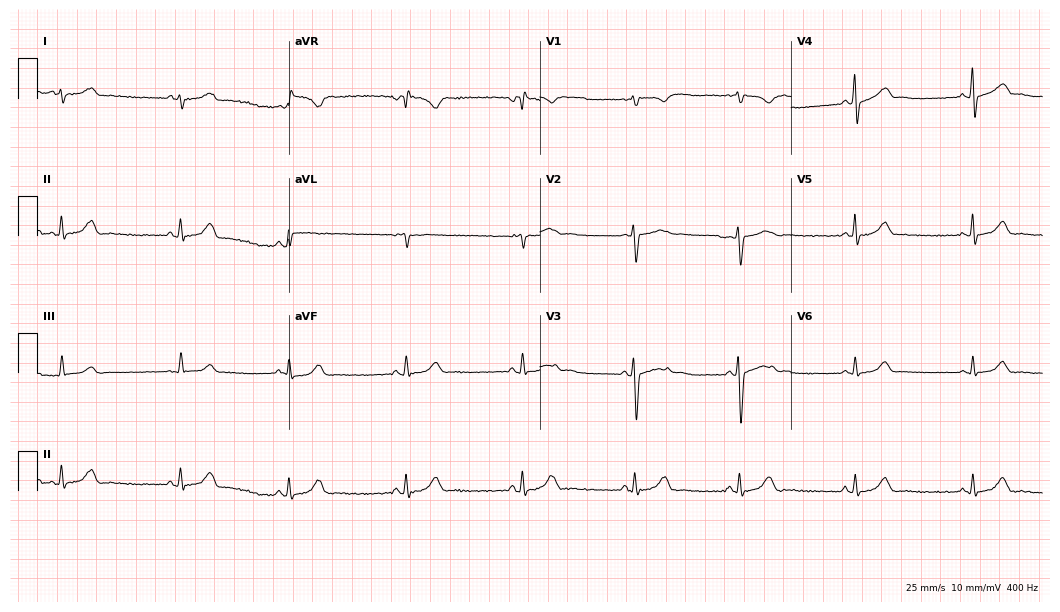
Resting 12-lead electrocardiogram (10.2-second recording at 400 Hz). Patient: a woman, 22 years old. Read as a normal ECG.